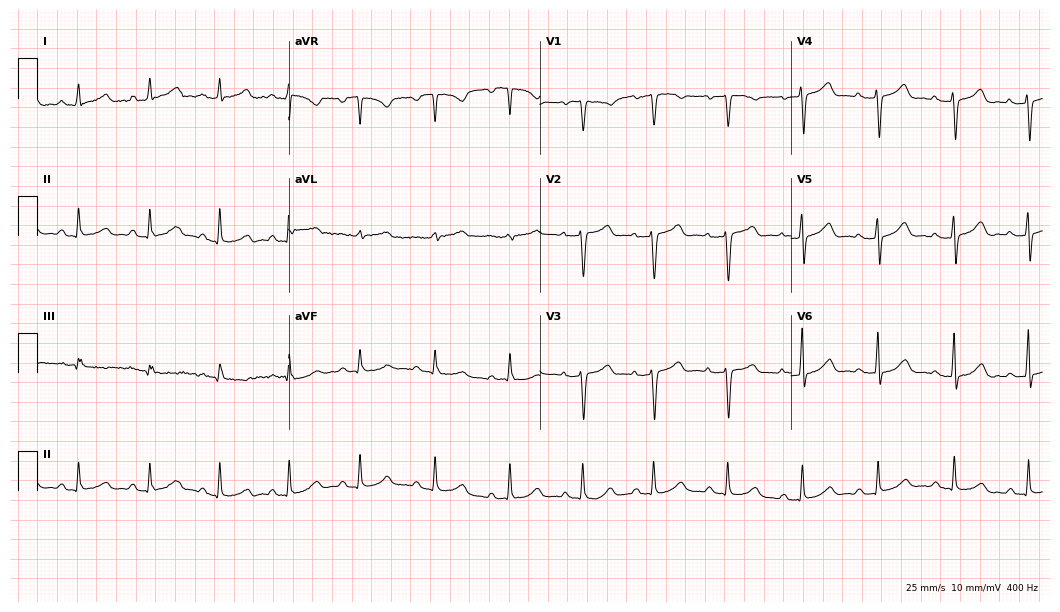
Resting 12-lead electrocardiogram. Patient: a man, 46 years old. Read as a normal ECG.